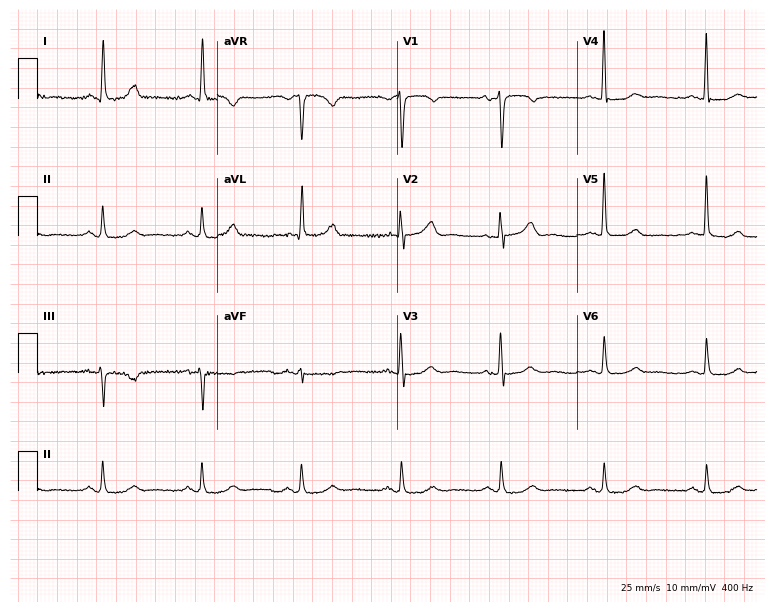
Resting 12-lead electrocardiogram (7.3-second recording at 400 Hz). Patient: a woman, 50 years old. Read as a normal ECG.